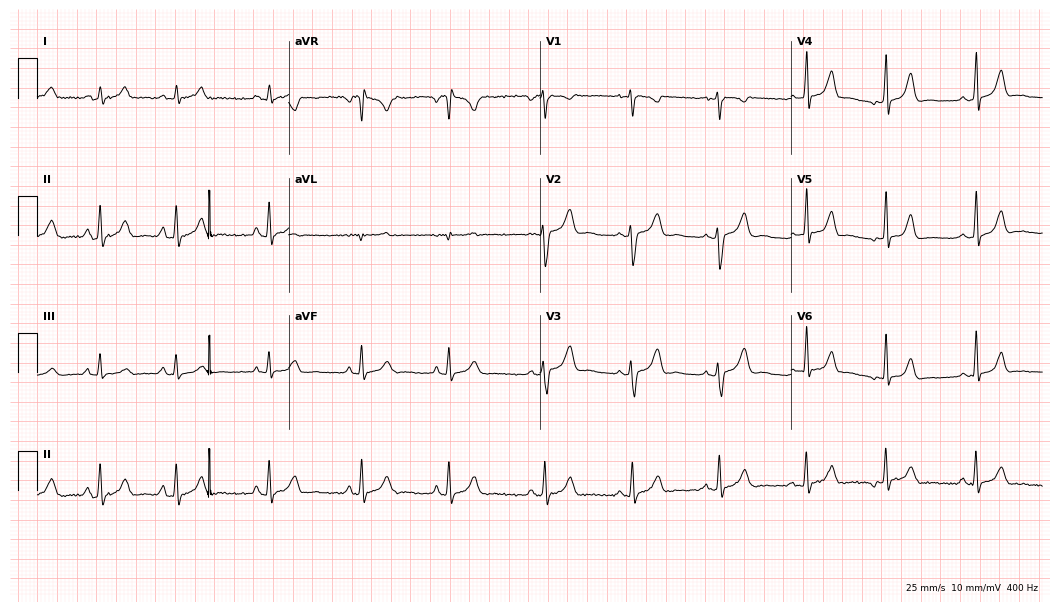
Resting 12-lead electrocardiogram (10.2-second recording at 400 Hz). Patient: a female, 18 years old. Read as a normal ECG.